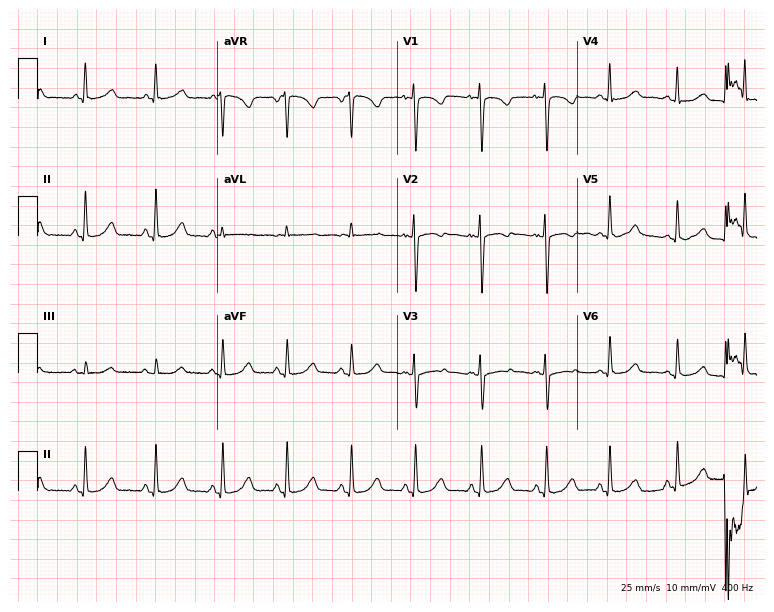
12-lead ECG from a 32-year-old female patient. Labelled as a normal ECG.